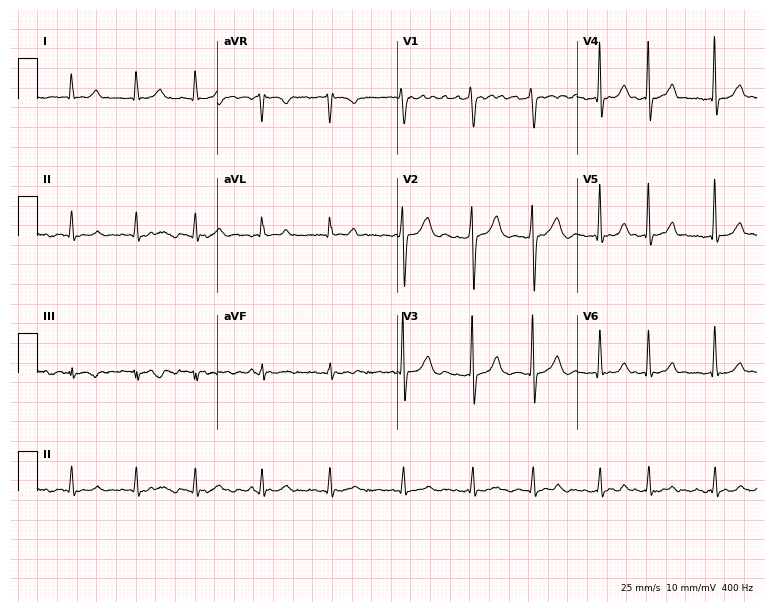
12-lead ECG (7.3-second recording at 400 Hz) from a man, 49 years old. Findings include atrial fibrillation.